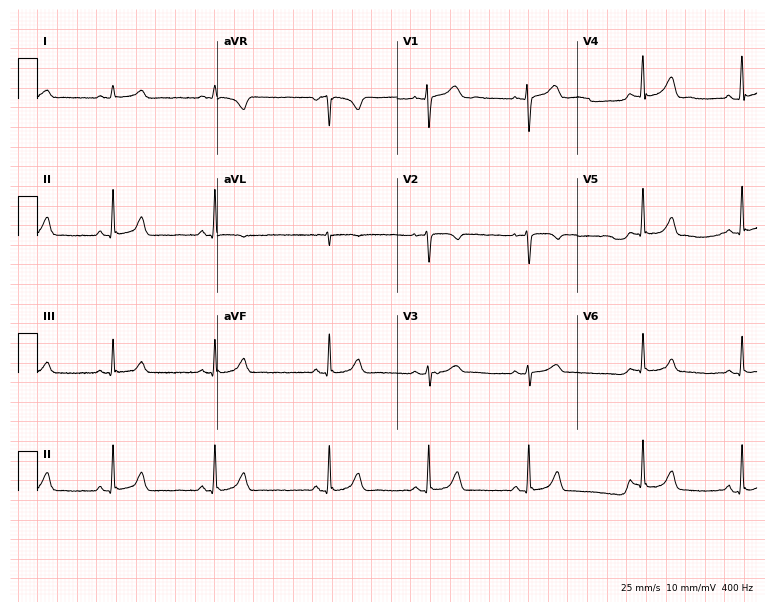
12-lead ECG from a 27-year-old female patient (7.3-second recording at 400 Hz). Recorded interpretation: within normal limits.